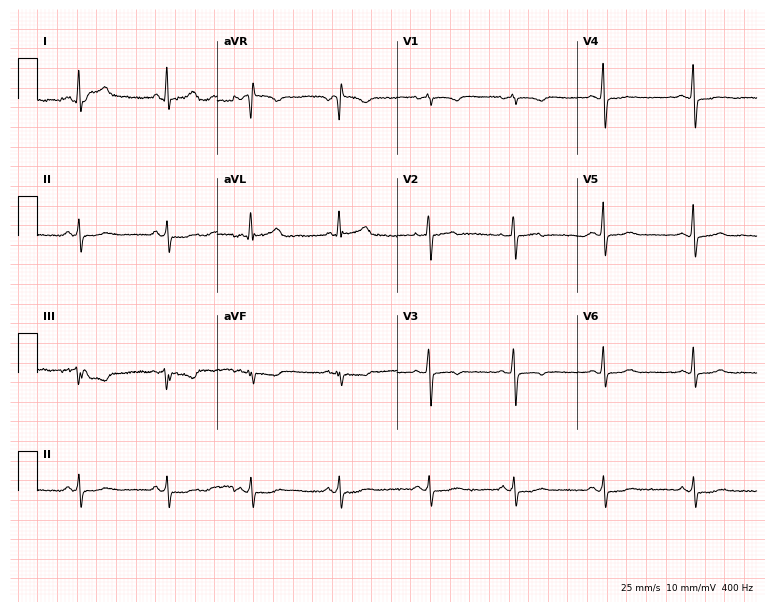
Standard 12-lead ECG recorded from a female patient, 57 years old. None of these six findings is recorded: first-degree AV block, right bundle branch block, left bundle branch block, sinus bradycardia, atrial fibrillation, sinus tachycardia.